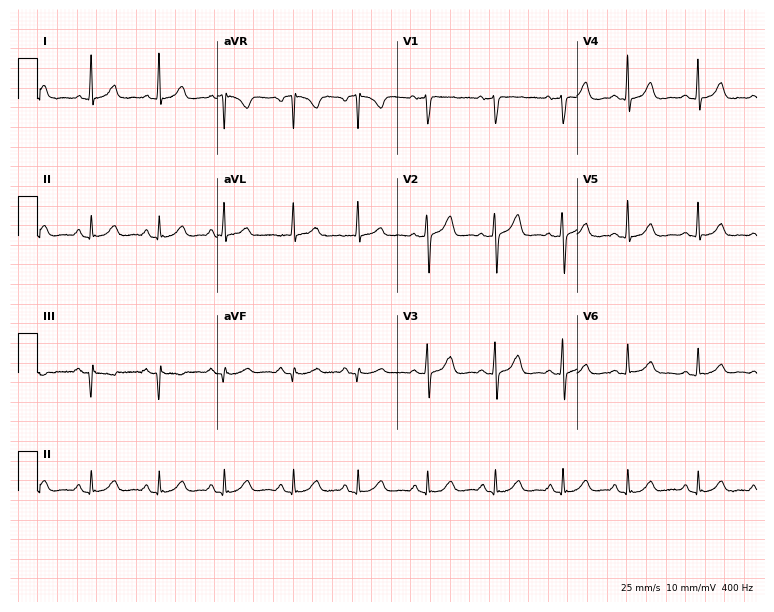
Electrocardiogram (7.3-second recording at 400 Hz), a female patient, 72 years old. Overall reading on record: normal ECG.